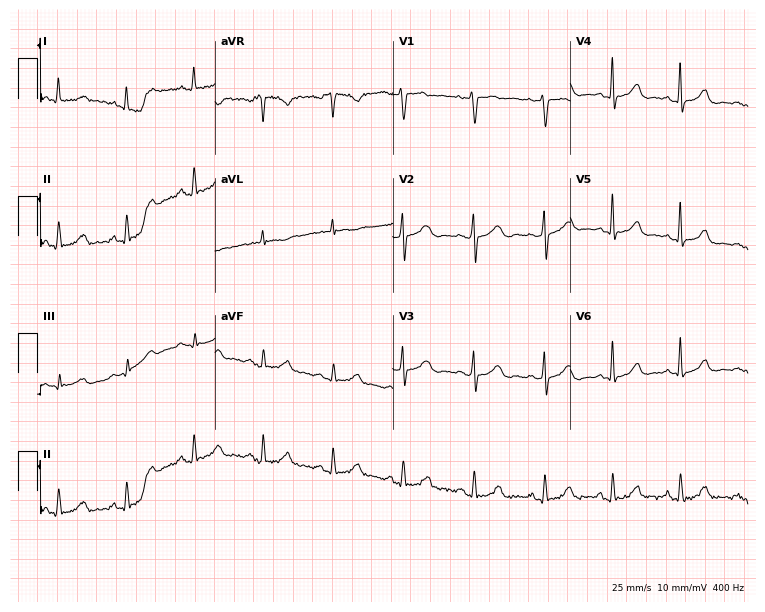
12-lead ECG (7.2-second recording at 400 Hz) from a woman, 47 years old. Labelled as a normal ECG.